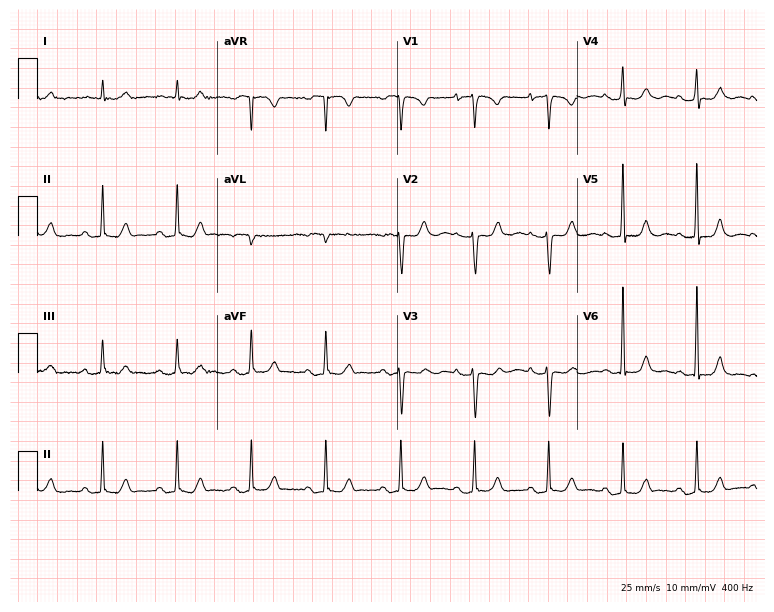
12-lead ECG from a woman, 79 years old (7.3-second recording at 400 Hz). No first-degree AV block, right bundle branch block, left bundle branch block, sinus bradycardia, atrial fibrillation or sinus tachycardia recorded for this tracing.